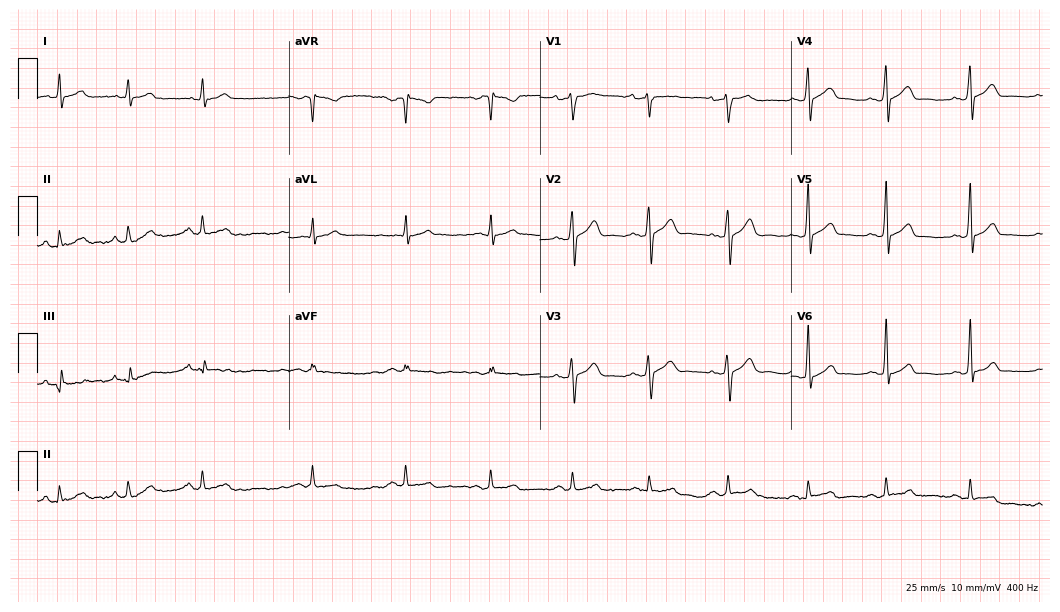
12-lead ECG from a male patient, 30 years old. Labelled as a normal ECG.